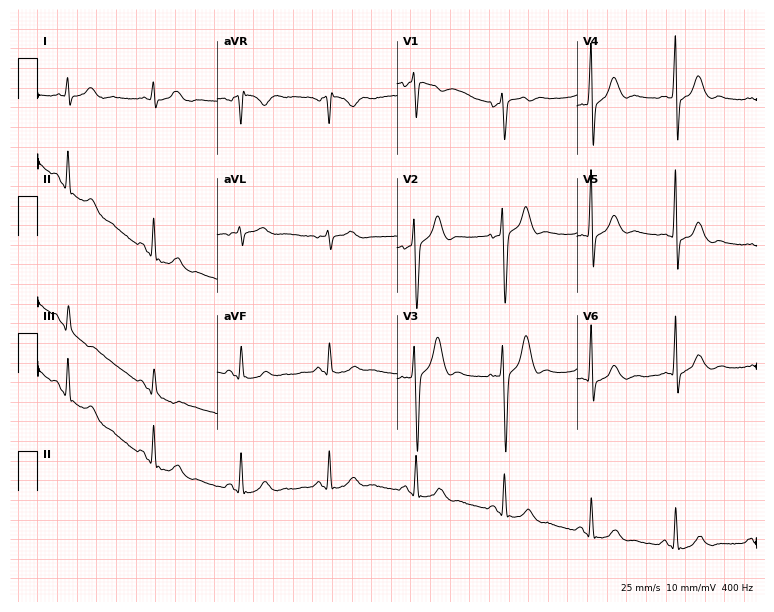
Standard 12-lead ECG recorded from a 28-year-old man. None of these six findings is recorded: first-degree AV block, right bundle branch block, left bundle branch block, sinus bradycardia, atrial fibrillation, sinus tachycardia. Other findings, if any, are not listed.